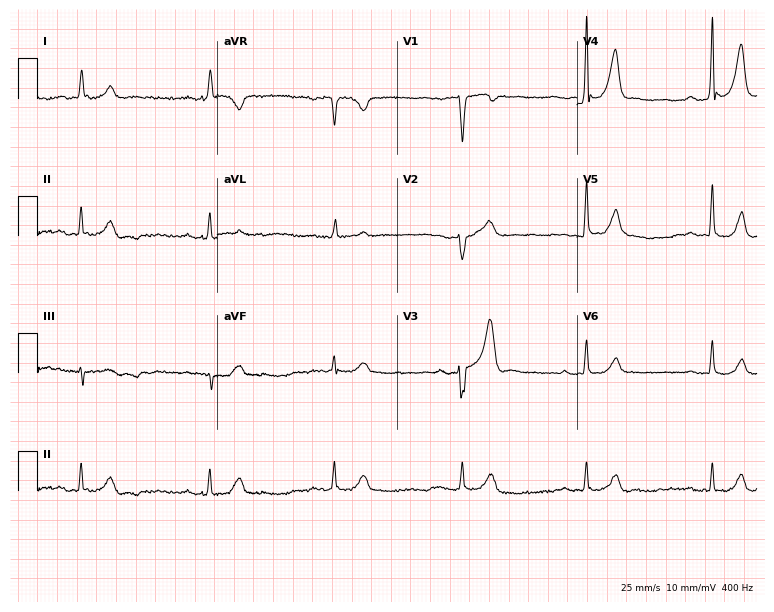
12-lead ECG from a 78-year-old man (7.3-second recording at 400 Hz). No first-degree AV block, right bundle branch block, left bundle branch block, sinus bradycardia, atrial fibrillation or sinus tachycardia recorded for this tracing.